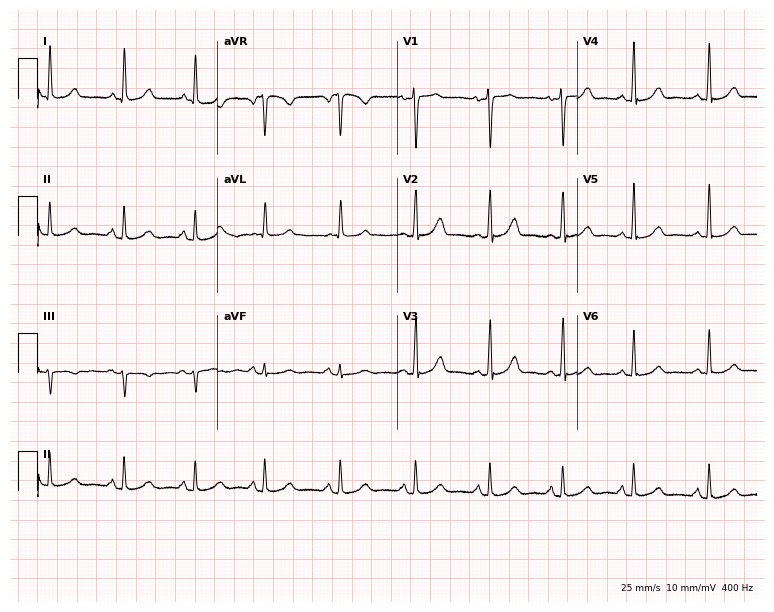
12-lead ECG from a 50-year-old female. Labelled as a normal ECG.